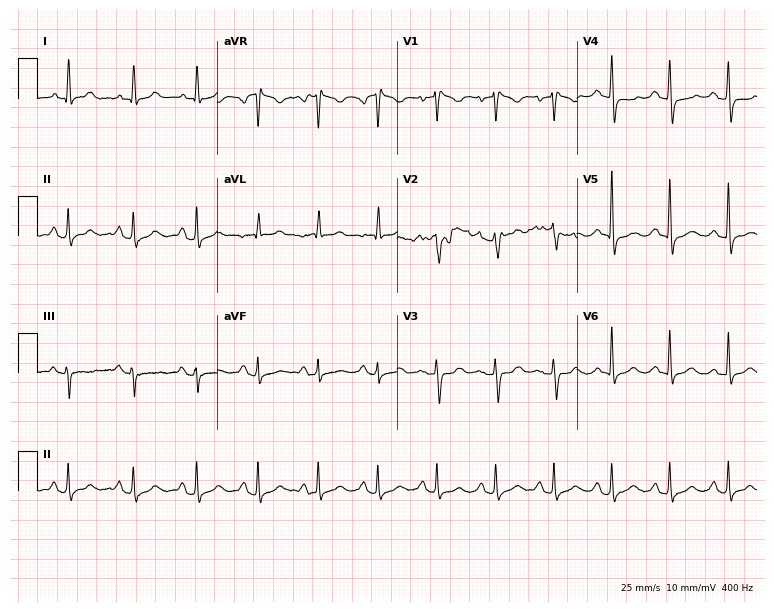
Electrocardiogram (7.3-second recording at 400 Hz), a 68-year-old female patient. Overall reading on record: normal ECG.